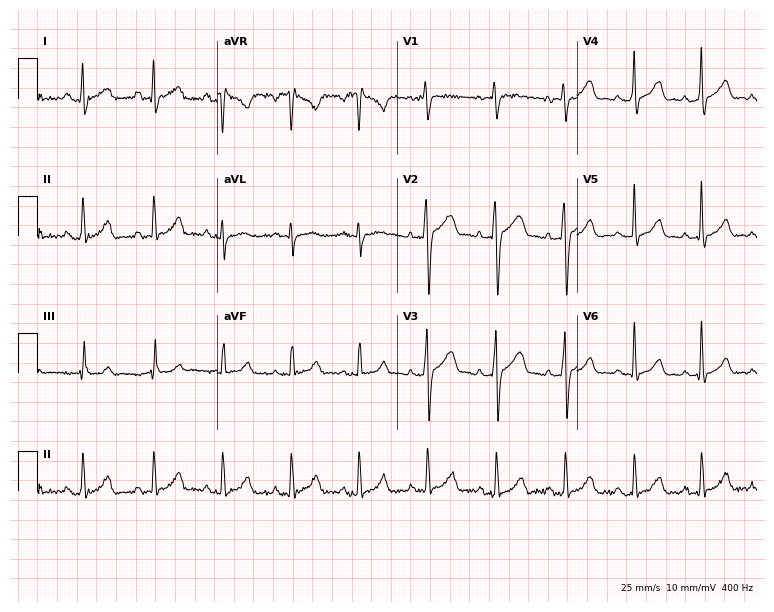
12-lead ECG (7.3-second recording at 400 Hz) from a 30-year-old man. Labelled as a normal ECG.